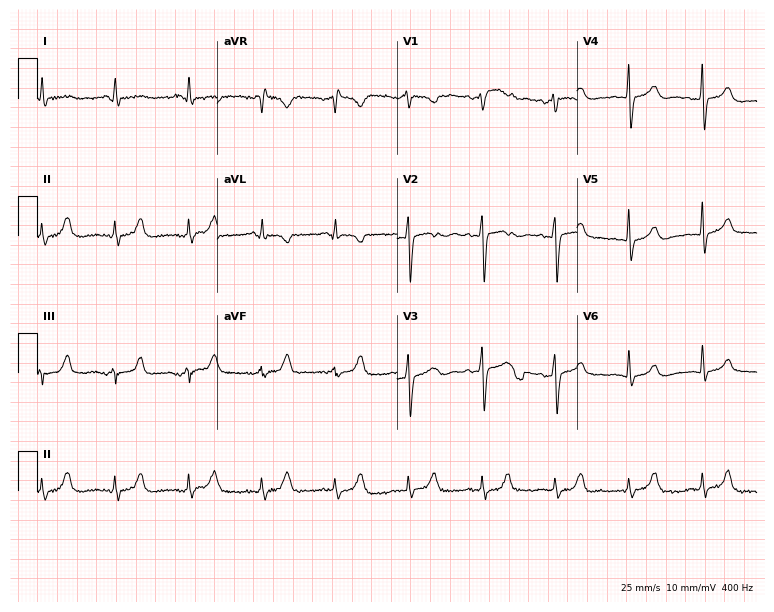
Standard 12-lead ECG recorded from a female patient, 57 years old (7.3-second recording at 400 Hz). None of these six findings is recorded: first-degree AV block, right bundle branch block, left bundle branch block, sinus bradycardia, atrial fibrillation, sinus tachycardia. Findings outside these six are not listed.